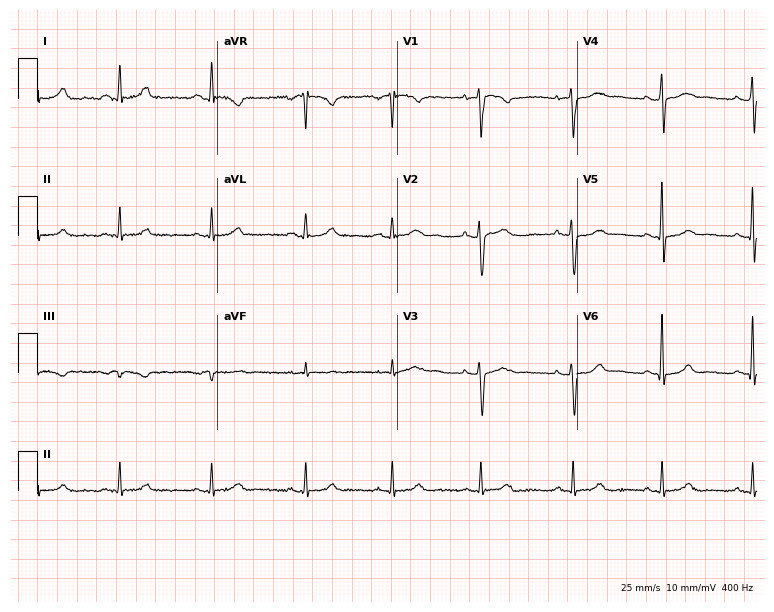
Electrocardiogram, a 30-year-old woman. Overall reading on record: normal ECG.